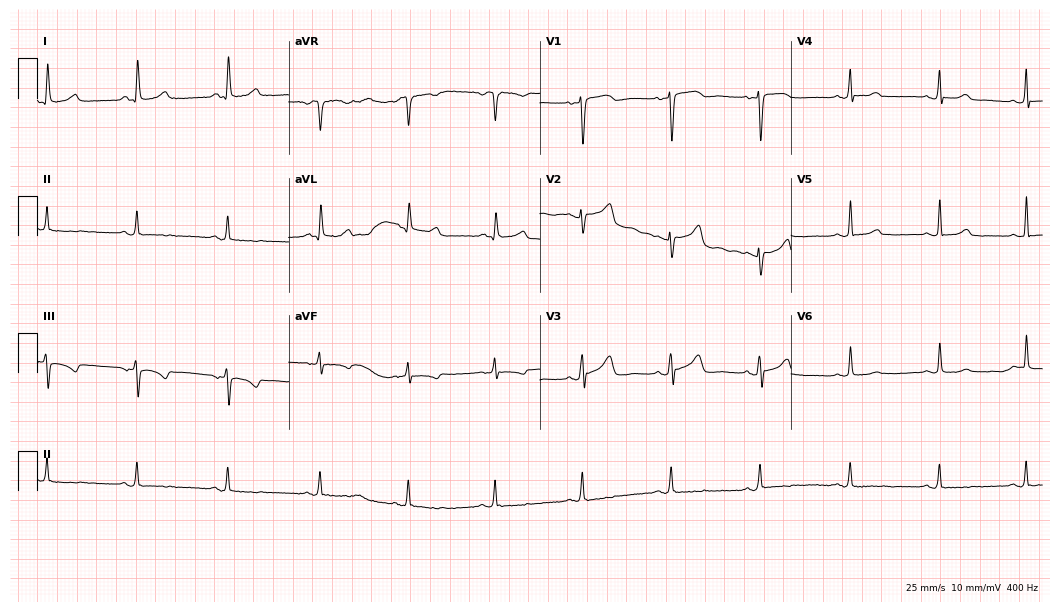
12-lead ECG from a 52-year-old woman. Screened for six findings — first-degree AV block, right bundle branch block, left bundle branch block, sinus bradycardia, atrial fibrillation, sinus tachycardia — none is recorded. Only these six findings were labelled.